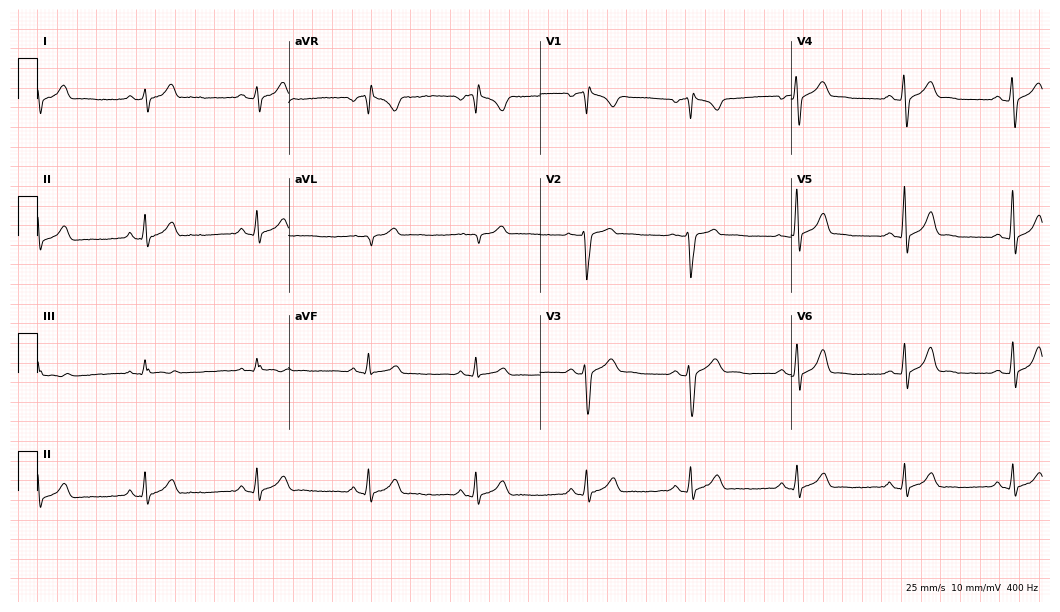
ECG (10.2-second recording at 400 Hz) — a male patient, 27 years old. Labelled as a normal ECG.